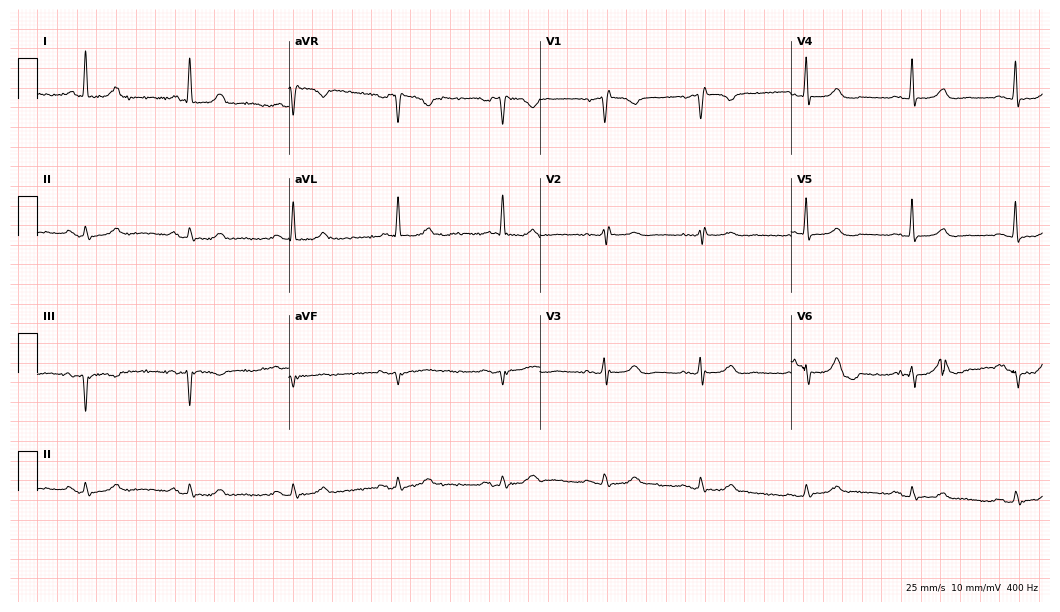
12-lead ECG (10.2-second recording at 400 Hz) from a female, 72 years old. Findings include atrial fibrillation.